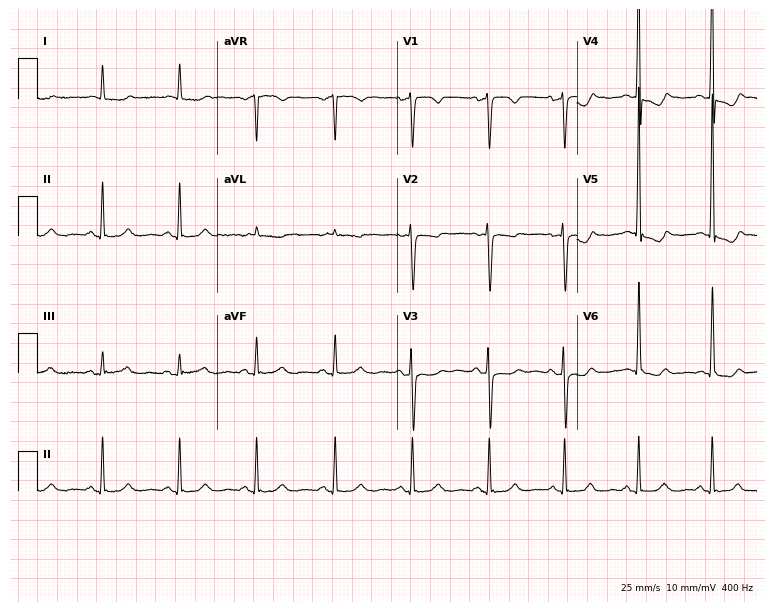
12-lead ECG (7.3-second recording at 400 Hz) from a 49-year-old male. Screened for six findings — first-degree AV block, right bundle branch block, left bundle branch block, sinus bradycardia, atrial fibrillation, sinus tachycardia — none is recorded. Other findings, if any, are not listed.